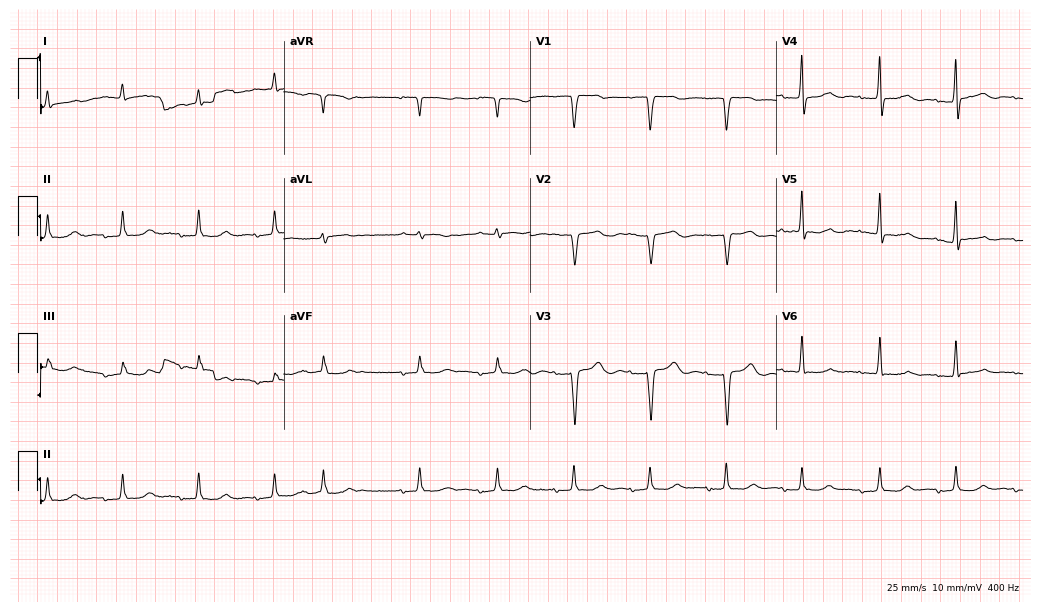
12-lead ECG from a female, 74 years old. Screened for six findings — first-degree AV block, right bundle branch block, left bundle branch block, sinus bradycardia, atrial fibrillation, sinus tachycardia — none is recorded. Other findings, if any, are not listed.